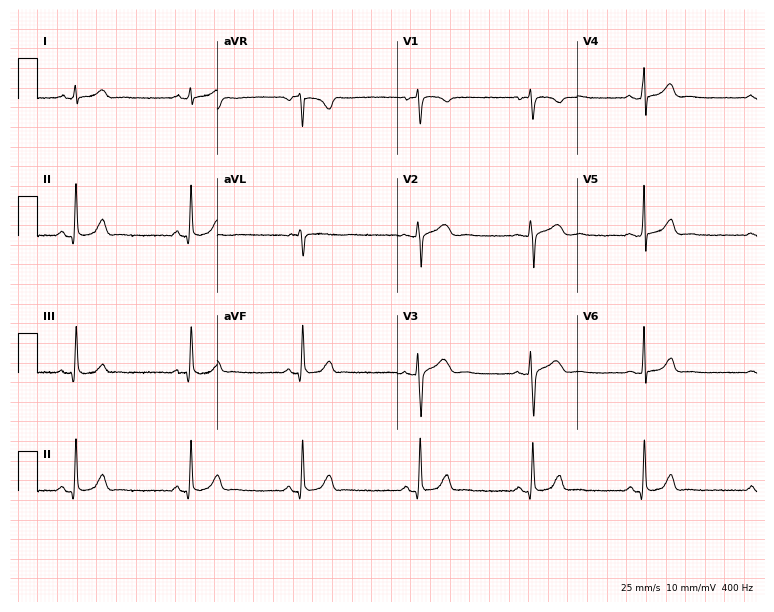
ECG (7.3-second recording at 400 Hz) — a female, 46 years old. Screened for six findings — first-degree AV block, right bundle branch block, left bundle branch block, sinus bradycardia, atrial fibrillation, sinus tachycardia — none is recorded. Other findings, if any, are not listed.